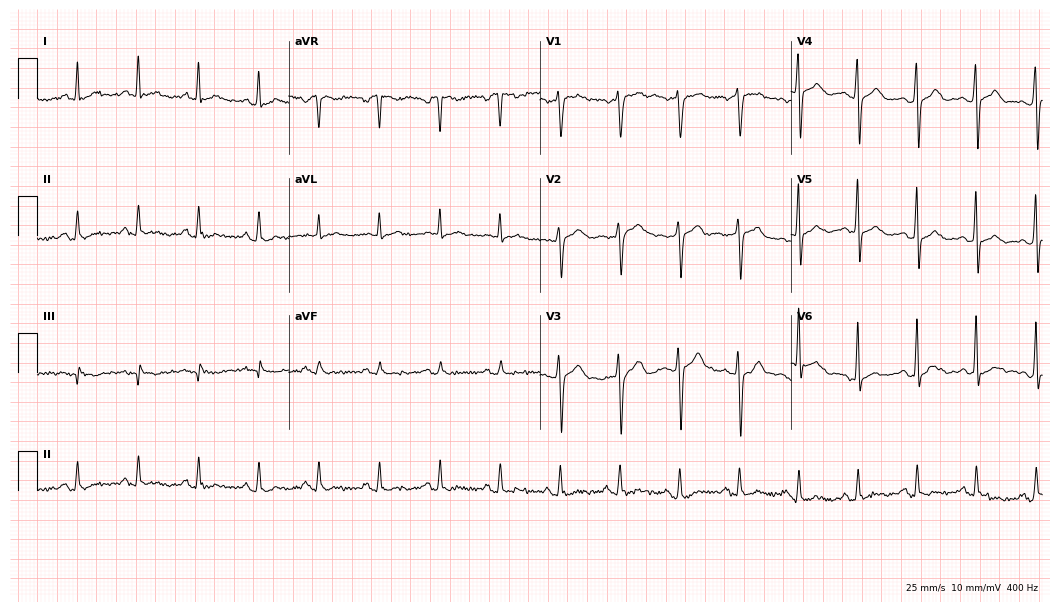
Resting 12-lead electrocardiogram. Patient: a male, 53 years old. None of these six findings is recorded: first-degree AV block, right bundle branch block, left bundle branch block, sinus bradycardia, atrial fibrillation, sinus tachycardia.